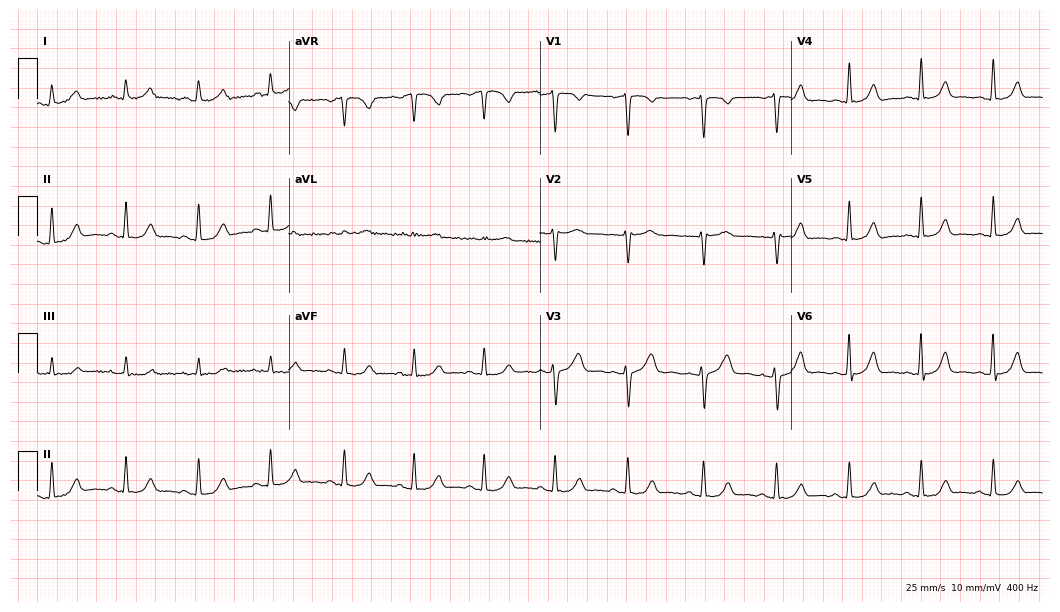
12-lead ECG from a woman, 33 years old. Labelled as a normal ECG.